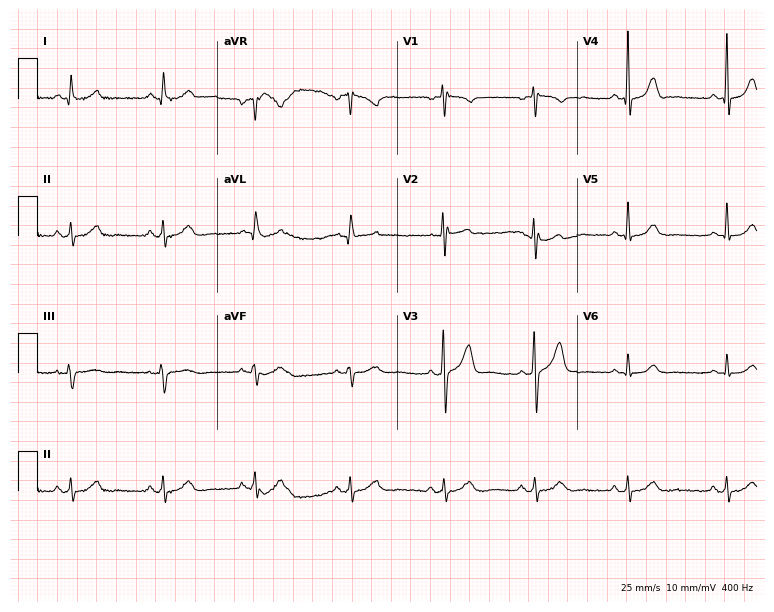
Resting 12-lead electrocardiogram. Patient: a 41-year-old female. Read as a normal ECG.